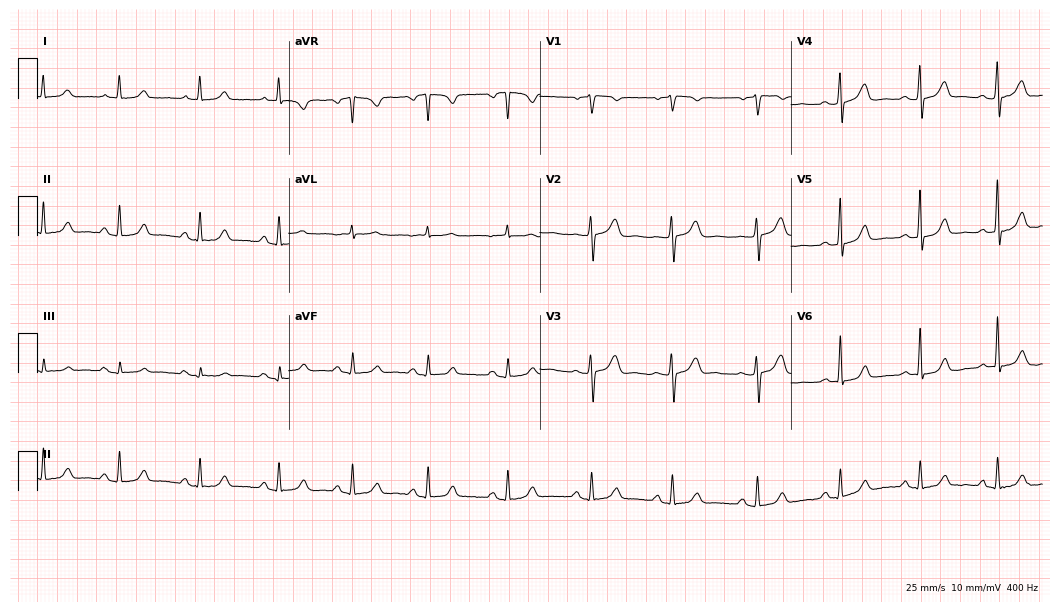
Electrocardiogram, a female, 56 years old. Overall reading on record: normal ECG.